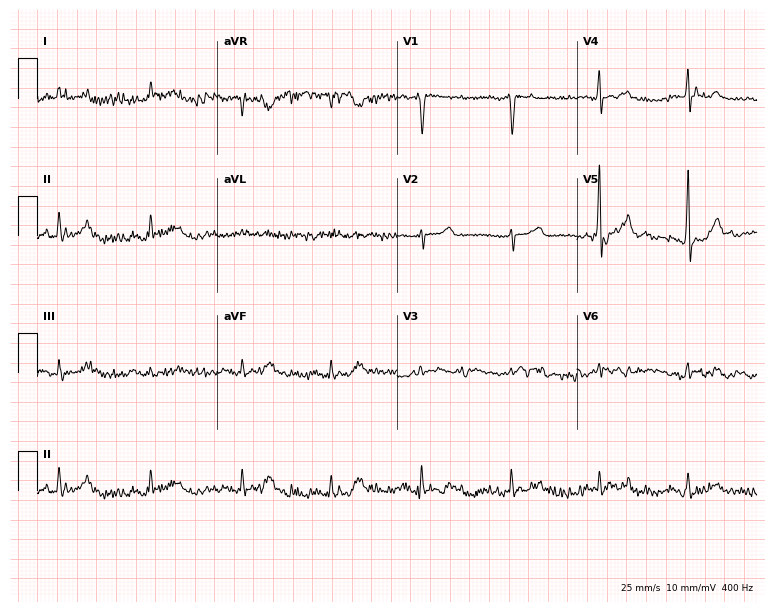
Electrocardiogram, a man, 62 years old. Of the six screened findings (first-degree AV block, right bundle branch block, left bundle branch block, sinus bradycardia, atrial fibrillation, sinus tachycardia), none is recorded. Only these six findings were labelled.